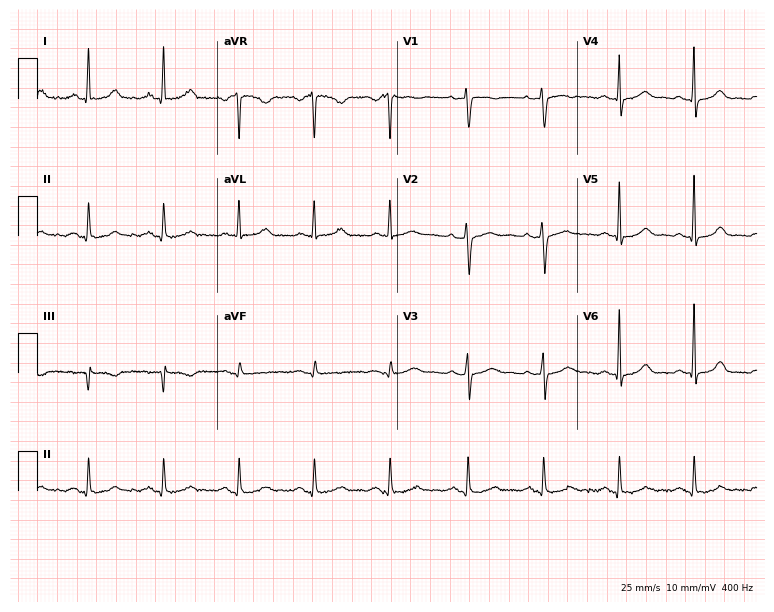
ECG (7.3-second recording at 400 Hz) — a 40-year-old female. Screened for six findings — first-degree AV block, right bundle branch block, left bundle branch block, sinus bradycardia, atrial fibrillation, sinus tachycardia — none is recorded.